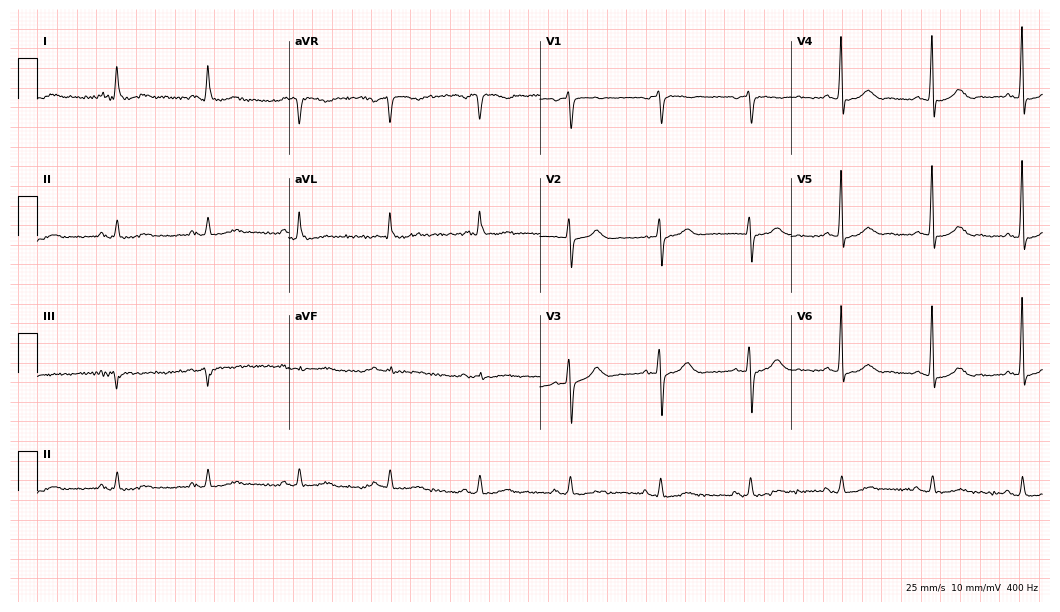
Standard 12-lead ECG recorded from a 78-year-old woman (10.2-second recording at 400 Hz). Read as a normal ECG.